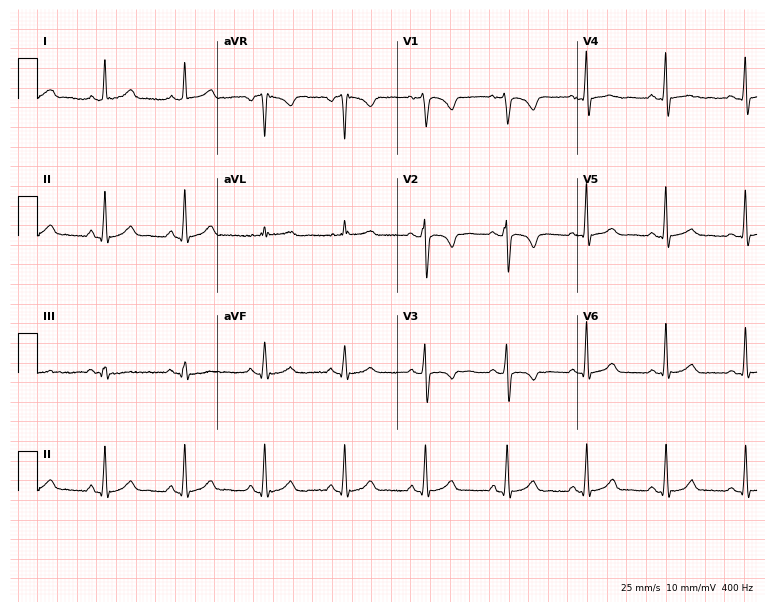
12-lead ECG (7.3-second recording at 400 Hz) from a 46-year-old woman. Screened for six findings — first-degree AV block, right bundle branch block, left bundle branch block, sinus bradycardia, atrial fibrillation, sinus tachycardia — none is recorded.